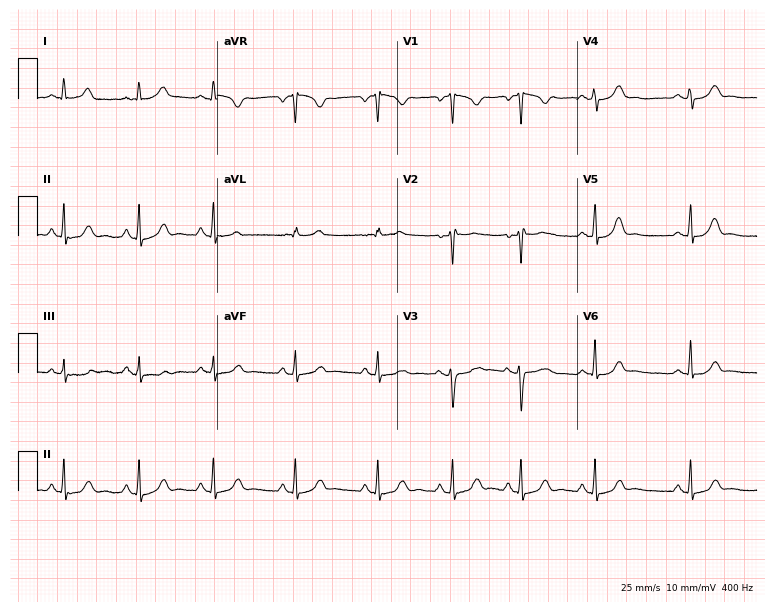
ECG (7.3-second recording at 400 Hz) — a 28-year-old female patient. Screened for six findings — first-degree AV block, right bundle branch block, left bundle branch block, sinus bradycardia, atrial fibrillation, sinus tachycardia — none is recorded. Findings outside these six are not listed.